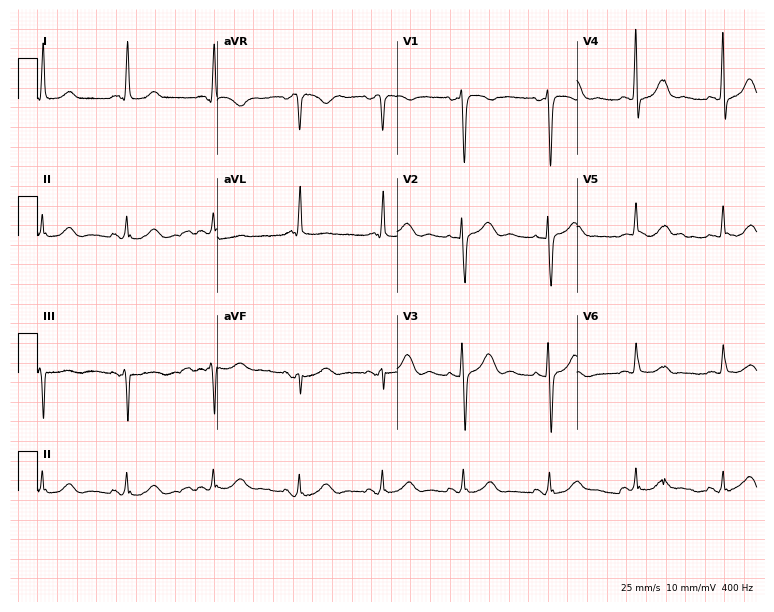
Resting 12-lead electrocardiogram. Patient: a woman, 65 years old. Read as a normal ECG.